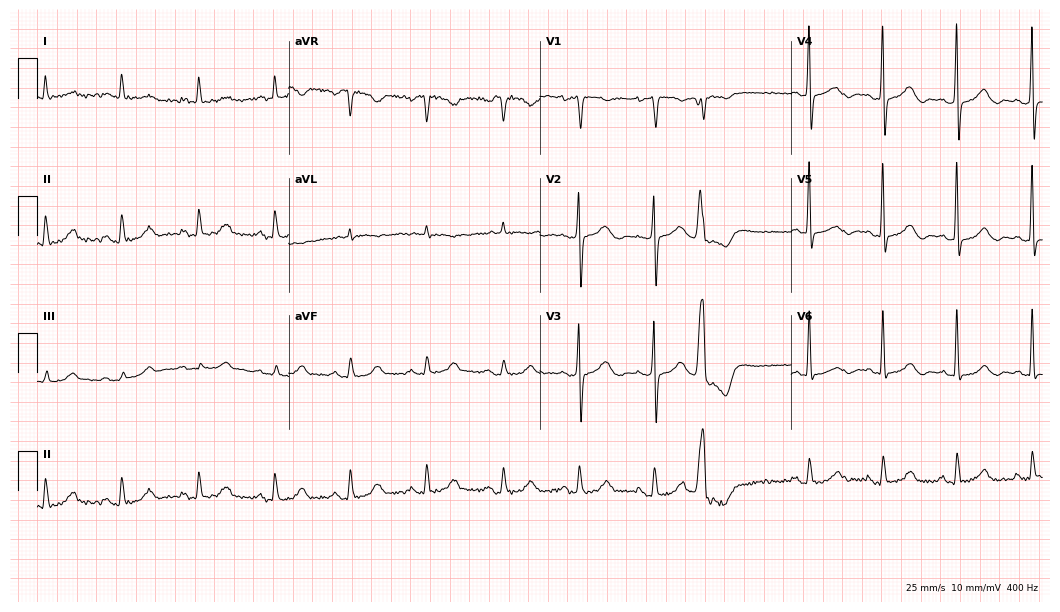
12-lead ECG (10.2-second recording at 400 Hz) from an 81-year-old female. Labelled as a normal ECG.